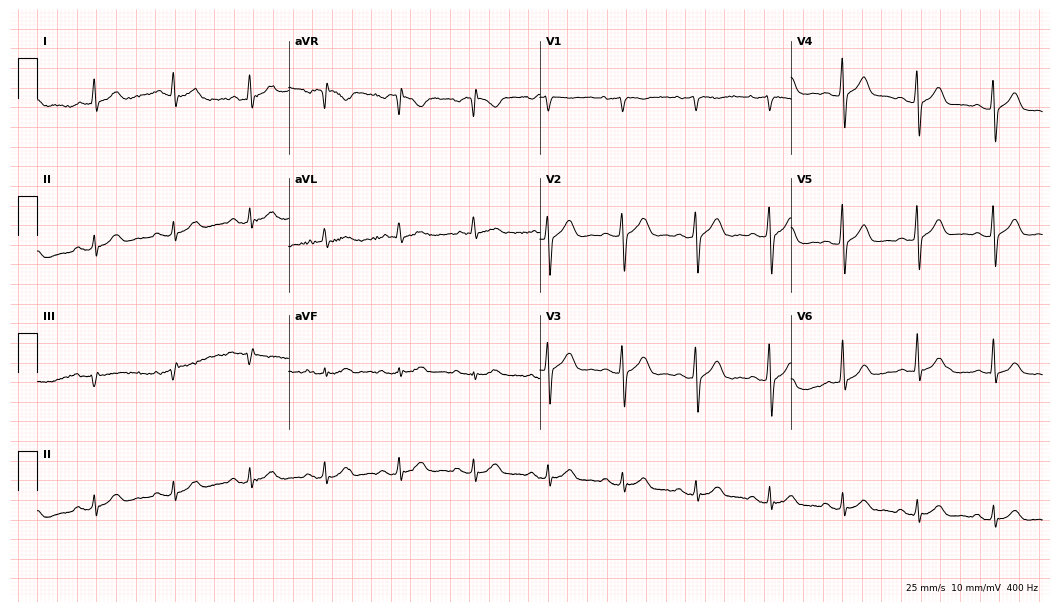
12-lead ECG from a 57-year-old man. Recorded interpretation: within normal limits.